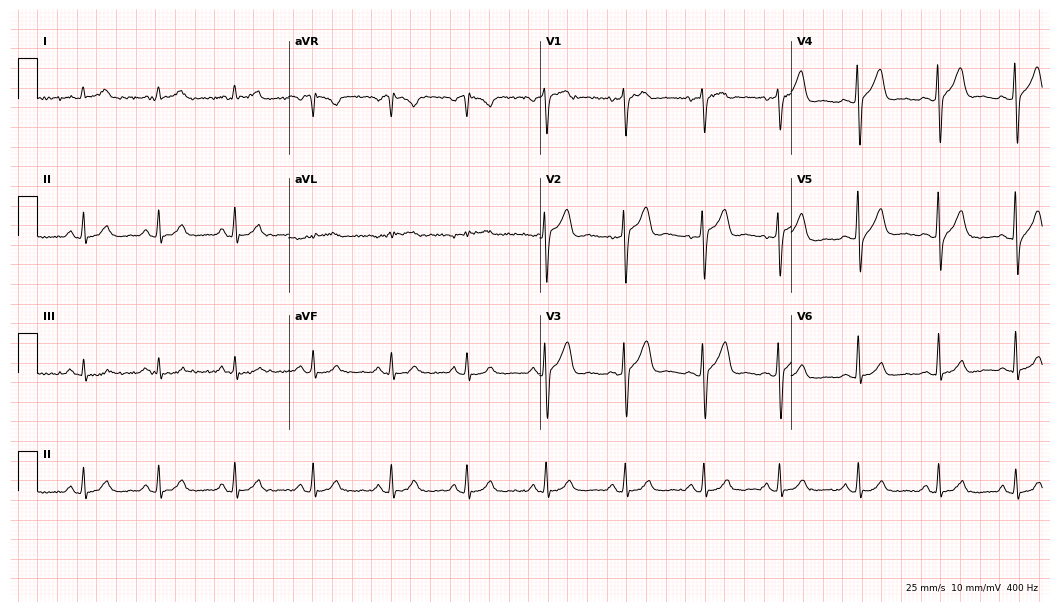
Electrocardiogram (10.2-second recording at 400 Hz), a man, 32 years old. Of the six screened findings (first-degree AV block, right bundle branch block (RBBB), left bundle branch block (LBBB), sinus bradycardia, atrial fibrillation (AF), sinus tachycardia), none is recorded.